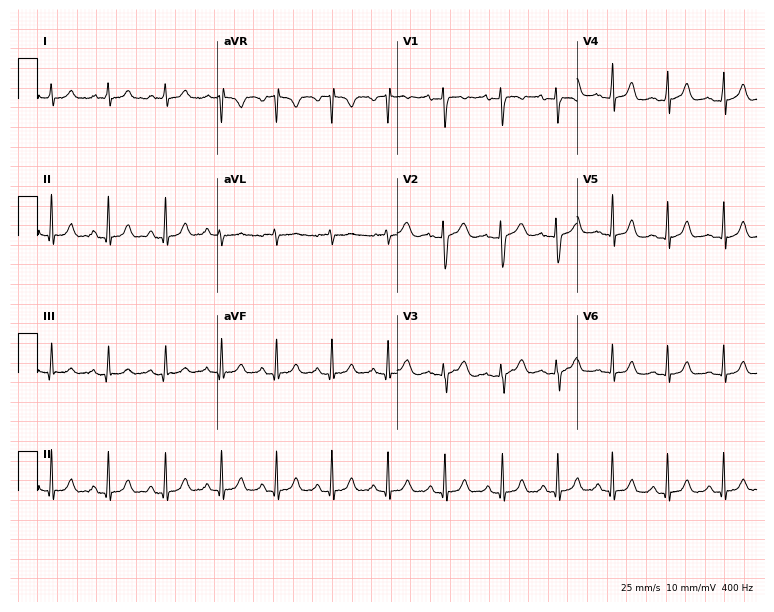
Electrocardiogram (7.3-second recording at 400 Hz), a female, 18 years old. Interpretation includes sinus tachycardia (a sinus rate of 100 beats per minute or more).